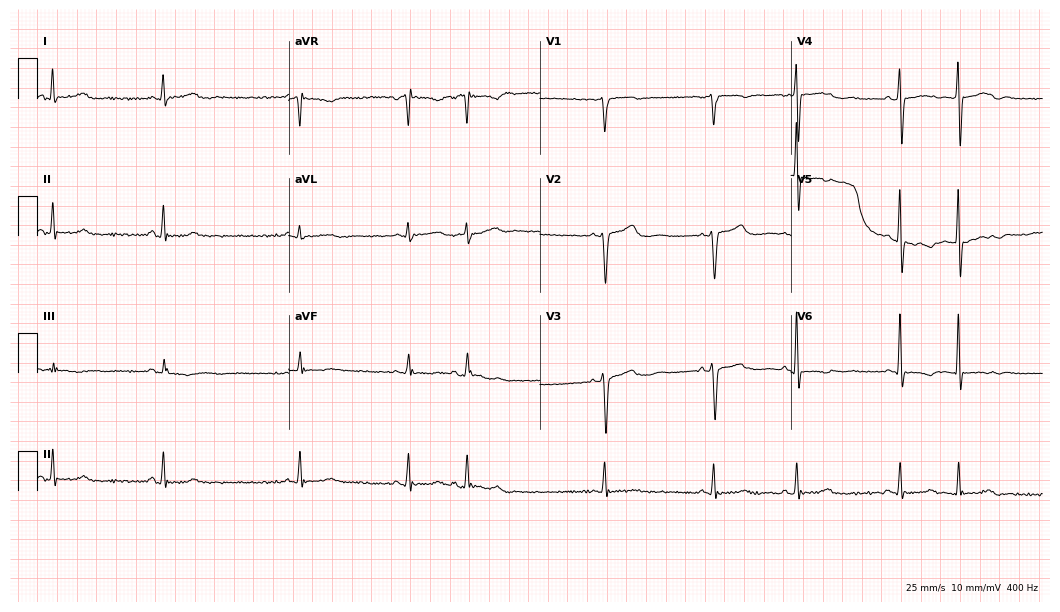
12-lead ECG (10.2-second recording at 400 Hz) from a 61-year-old female. Findings include sinus bradycardia (a sinus rate of 50 beats per minute or less).